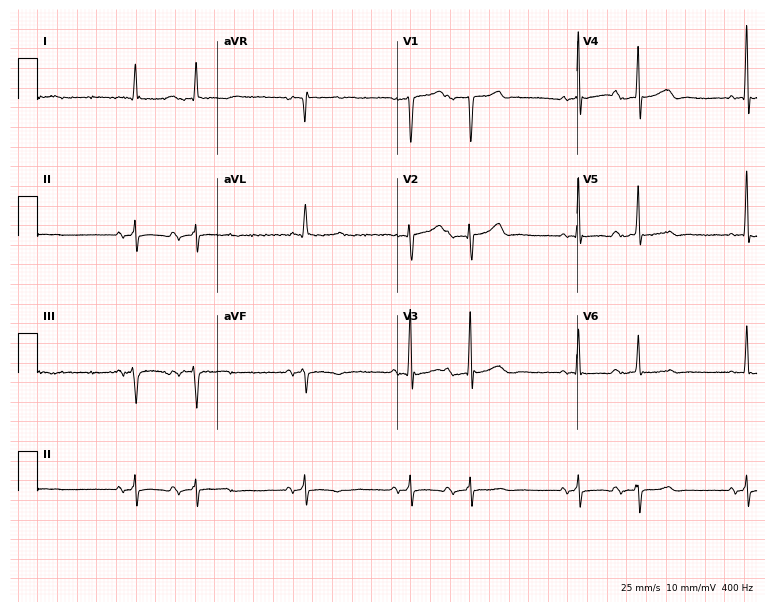
Electrocardiogram (7.3-second recording at 400 Hz), an 84-year-old male. Of the six screened findings (first-degree AV block, right bundle branch block, left bundle branch block, sinus bradycardia, atrial fibrillation, sinus tachycardia), none is recorded.